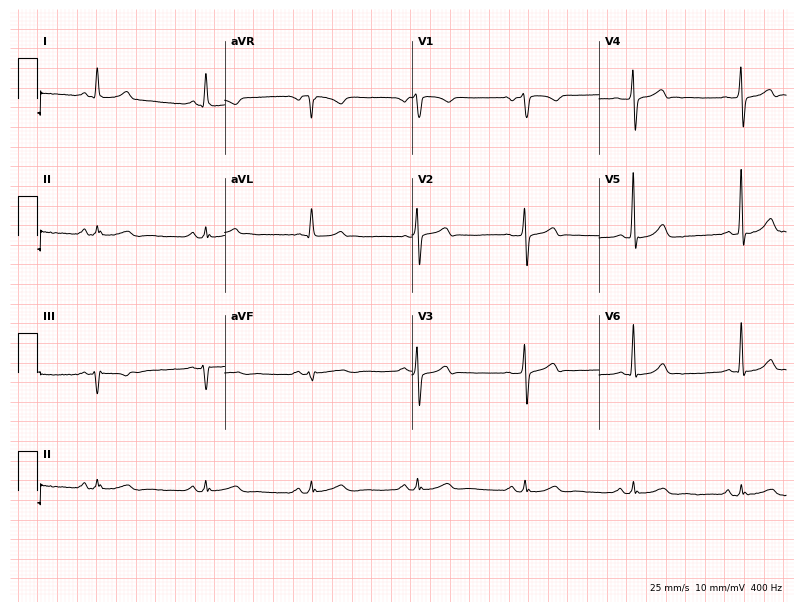
12-lead ECG from a male patient, 74 years old. No first-degree AV block, right bundle branch block, left bundle branch block, sinus bradycardia, atrial fibrillation or sinus tachycardia recorded for this tracing. Other findings, if any, are not listed.